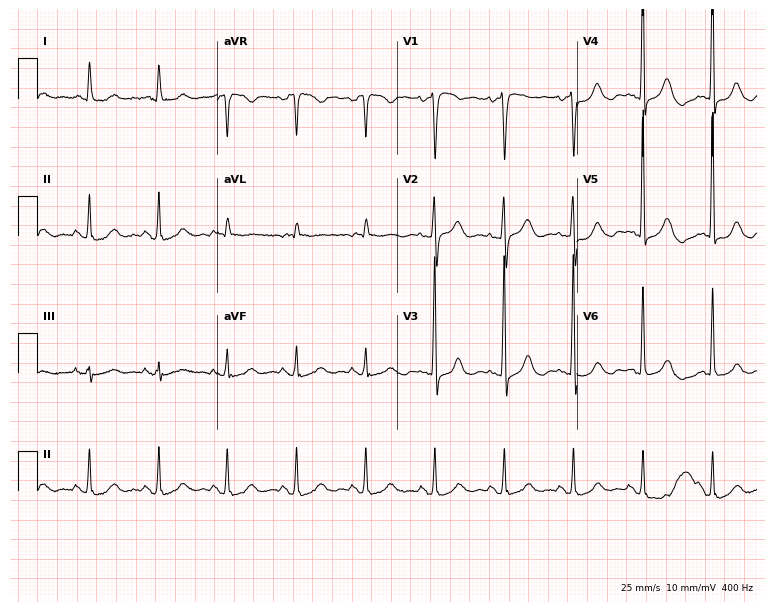
12-lead ECG (7.3-second recording at 400 Hz) from a 78-year-old female patient. Screened for six findings — first-degree AV block, right bundle branch block, left bundle branch block, sinus bradycardia, atrial fibrillation, sinus tachycardia — none is recorded. Findings outside these six are not listed.